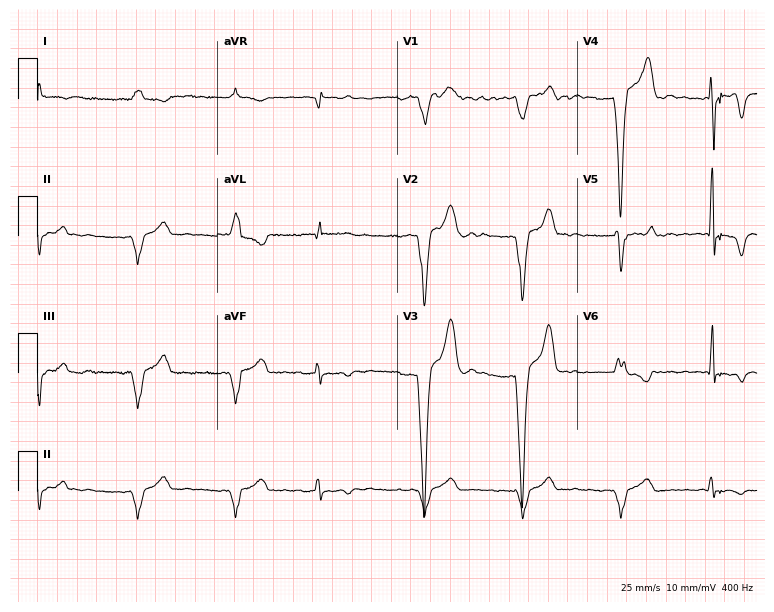
12-lead ECG from an 83-year-old male. Findings include atrial fibrillation.